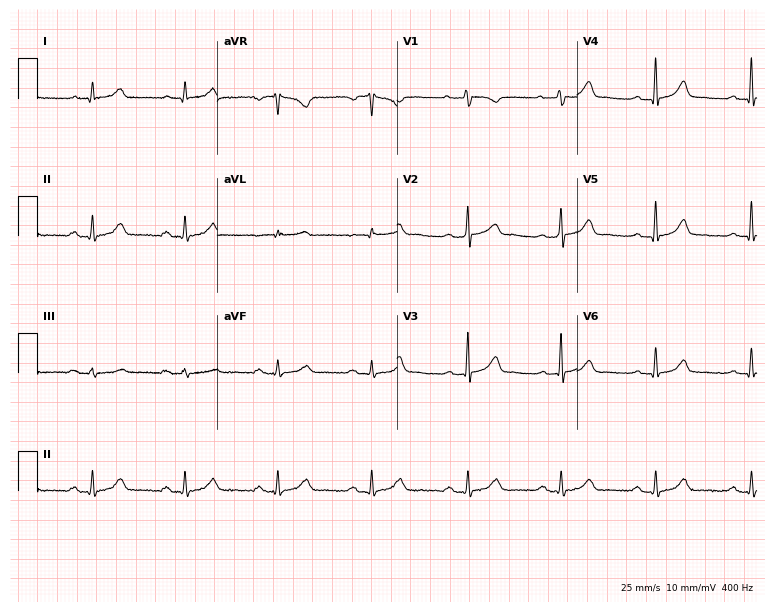
Resting 12-lead electrocardiogram (7.3-second recording at 400 Hz). Patient: a 51-year-old female. Read as a normal ECG.